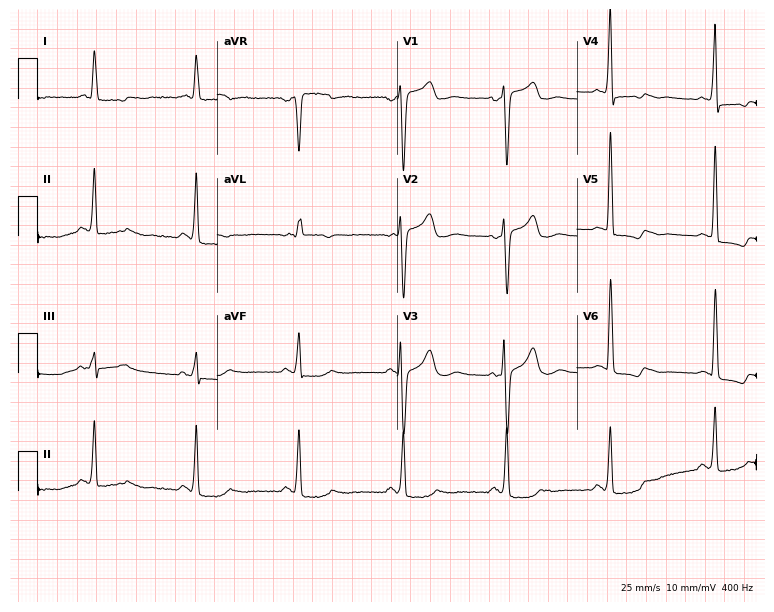
12-lead ECG (7.3-second recording at 400 Hz) from a female patient, 68 years old. Screened for six findings — first-degree AV block, right bundle branch block, left bundle branch block, sinus bradycardia, atrial fibrillation, sinus tachycardia — none is recorded. Findings outside these six are not listed.